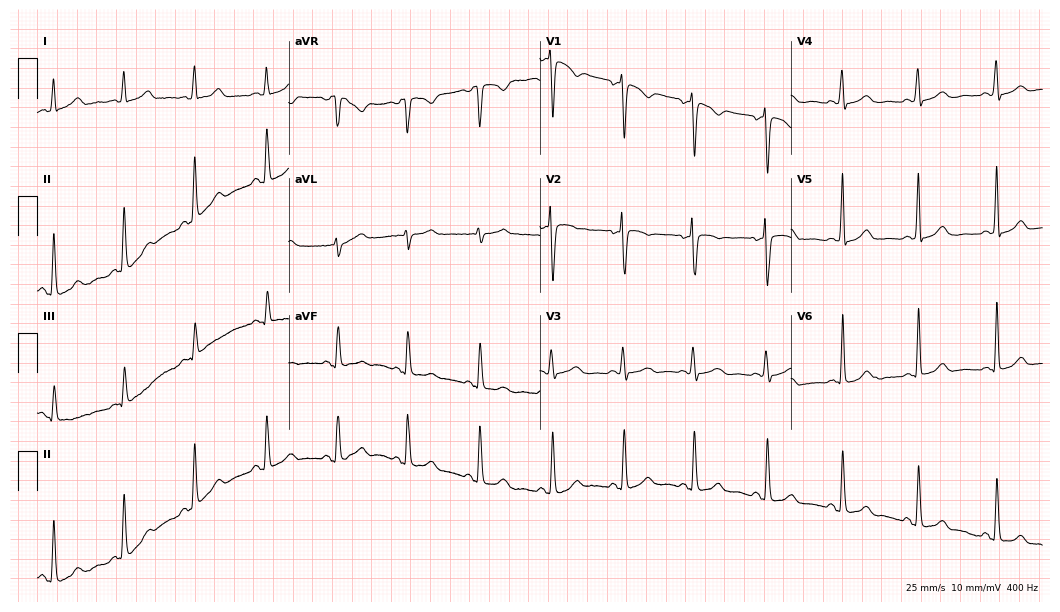
Resting 12-lead electrocardiogram. Patient: a female, 36 years old. None of these six findings is recorded: first-degree AV block, right bundle branch block, left bundle branch block, sinus bradycardia, atrial fibrillation, sinus tachycardia.